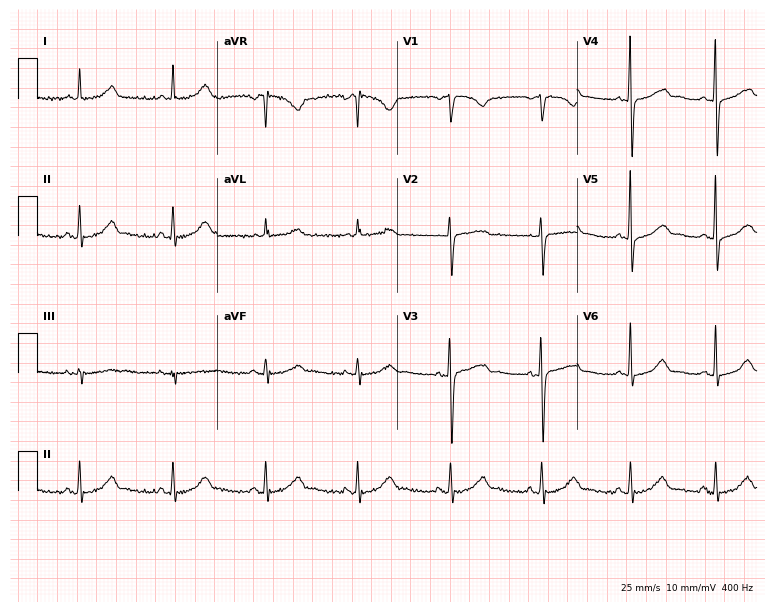
12-lead ECG from a woman, 75 years old (7.3-second recording at 400 Hz). Recorded interpretation: within normal limits.